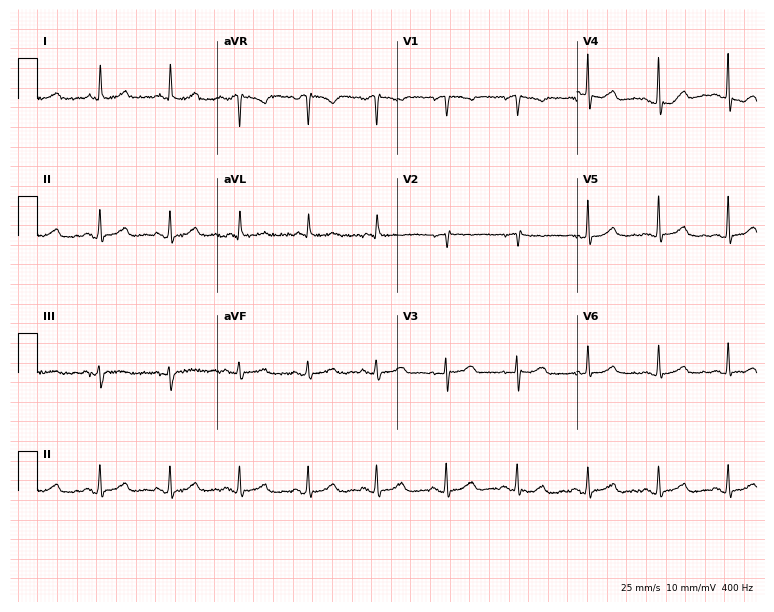
Resting 12-lead electrocardiogram. Patient: a 65-year-old female. None of these six findings is recorded: first-degree AV block, right bundle branch block, left bundle branch block, sinus bradycardia, atrial fibrillation, sinus tachycardia. Only these six findings were labelled.